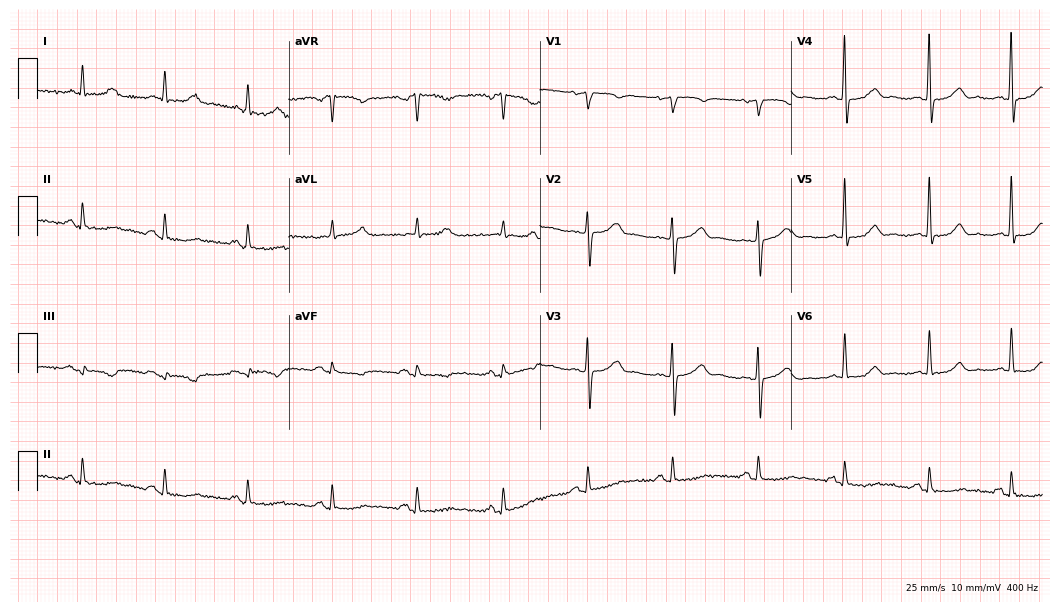
Electrocardiogram (10.2-second recording at 400 Hz), a 61-year-old male. Overall reading on record: normal ECG.